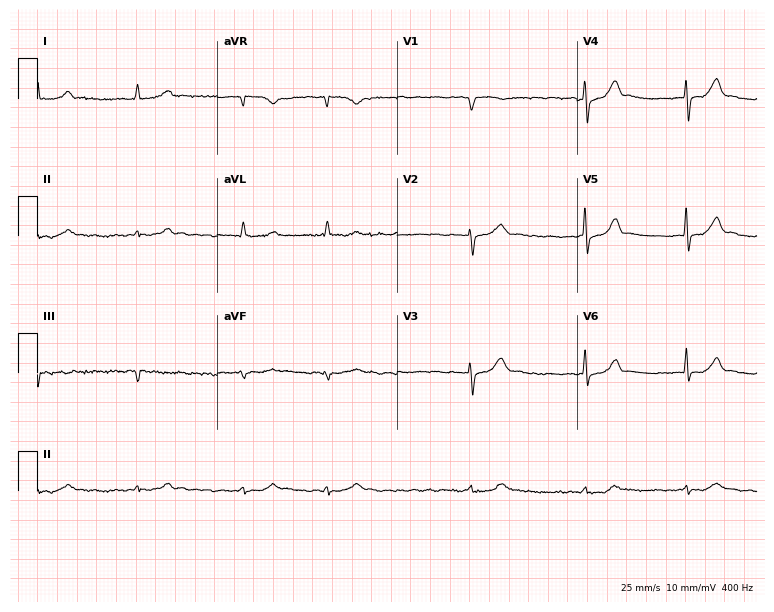
ECG (7.3-second recording at 400 Hz) — an 84-year-old man. Findings include atrial fibrillation.